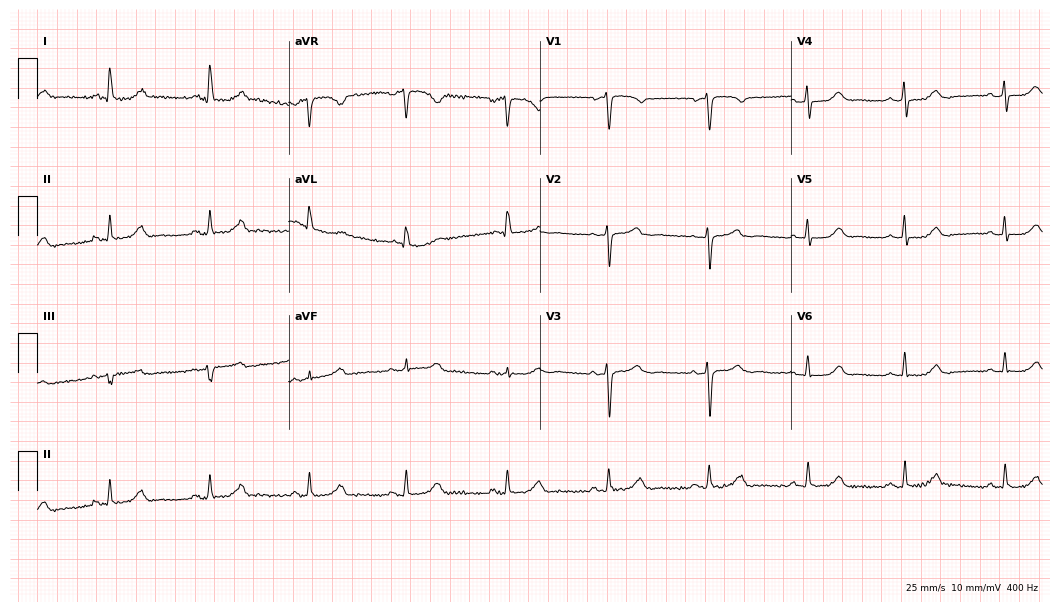
Resting 12-lead electrocardiogram (10.2-second recording at 400 Hz). Patient: a 57-year-old female. Read as a normal ECG.